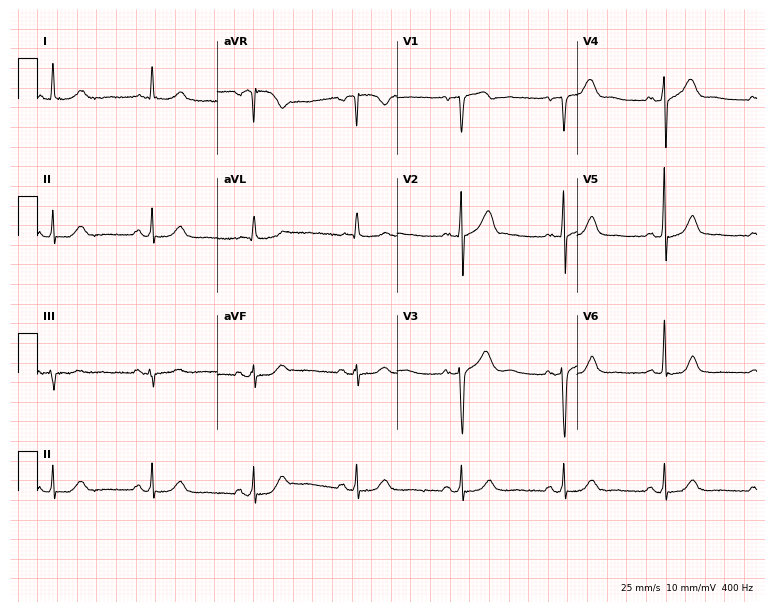
Electrocardiogram (7.3-second recording at 400 Hz), a 70-year-old man. Overall reading on record: normal ECG.